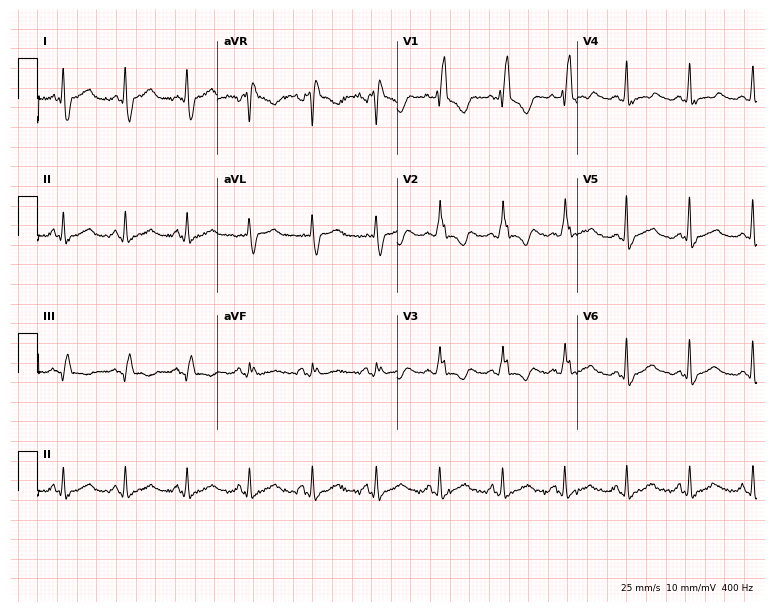
12-lead ECG from a man, 41 years old. Findings include right bundle branch block.